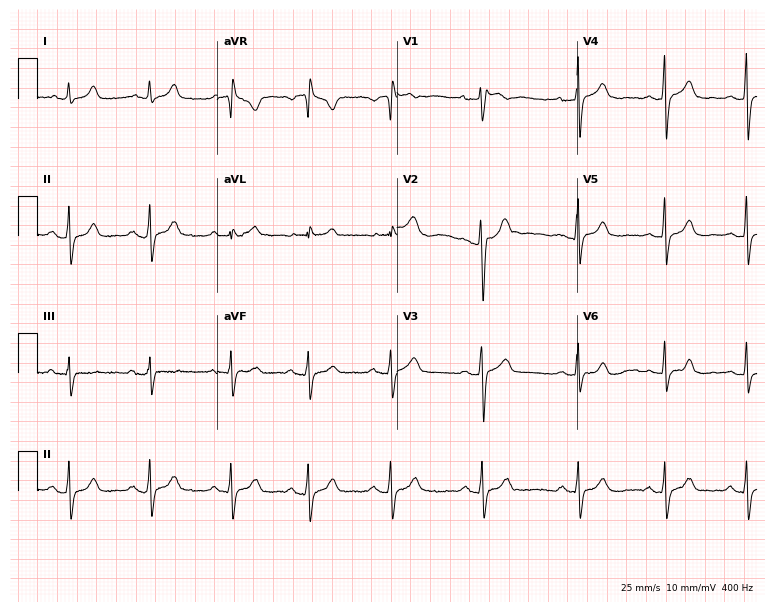
Standard 12-lead ECG recorded from a 33-year-old female patient. Read as a normal ECG.